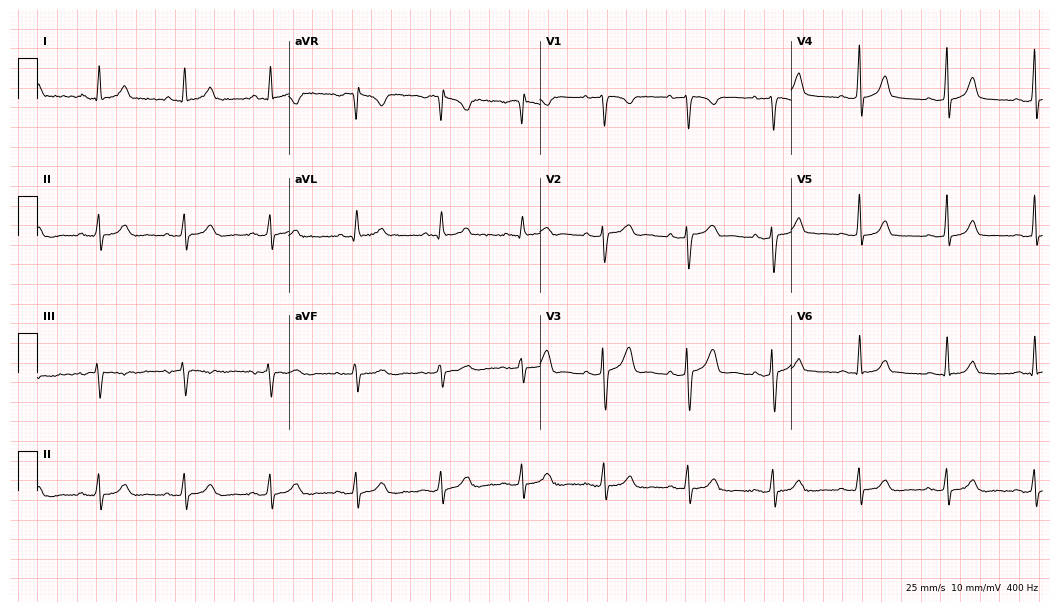
12-lead ECG from a woman, 31 years old. Labelled as a normal ECG.